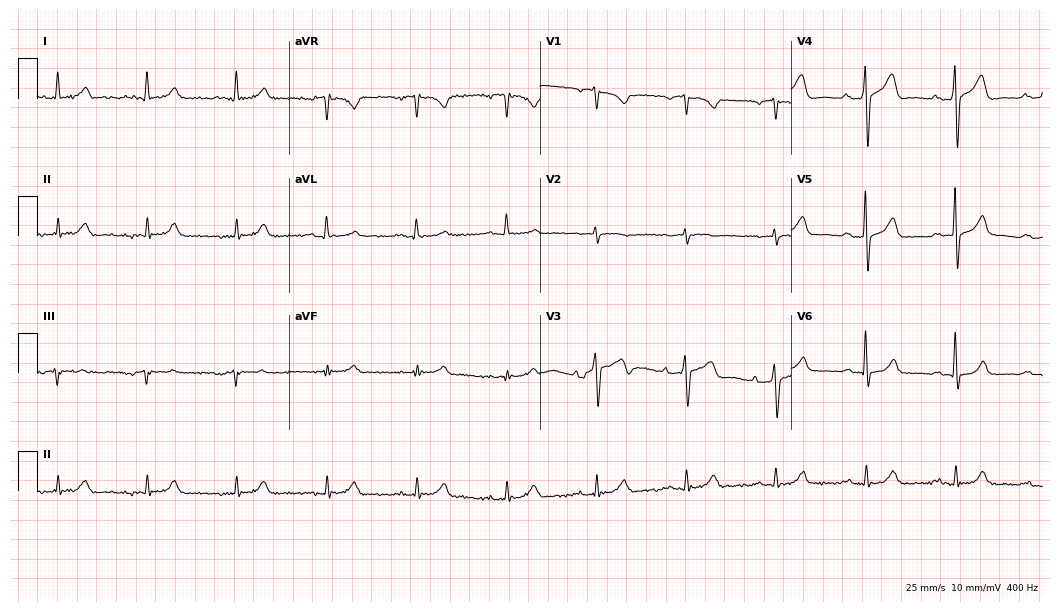
Standard 12-lead ECG recorded from a 79-year-old male patient. The tracing shows first-degree AV block.